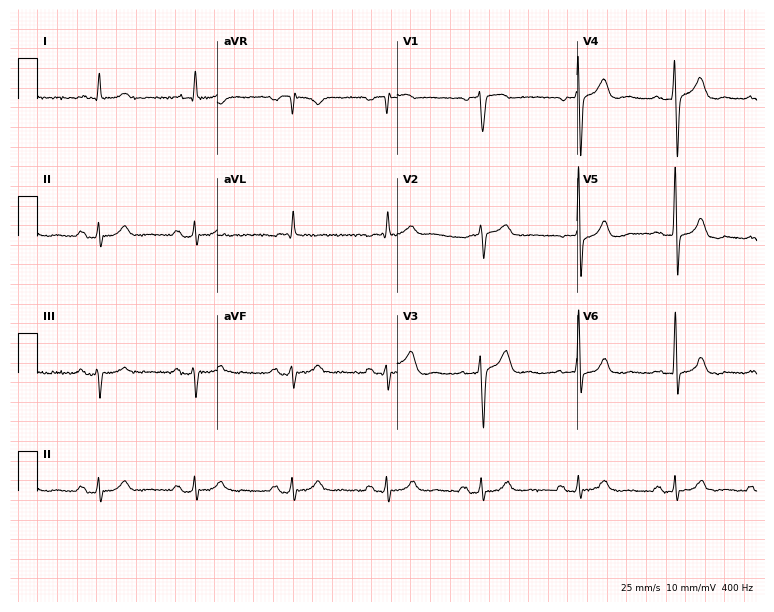
Standard 12-lead ECG recorded from a 72-year-old man (7.3-second recording at 400 Hz). None of these six findings is recorded: first-degree AV block, right bundle branch block, left bundle branch block, sinus bradycardia, atrial fibrillation, sinus tachycardia.